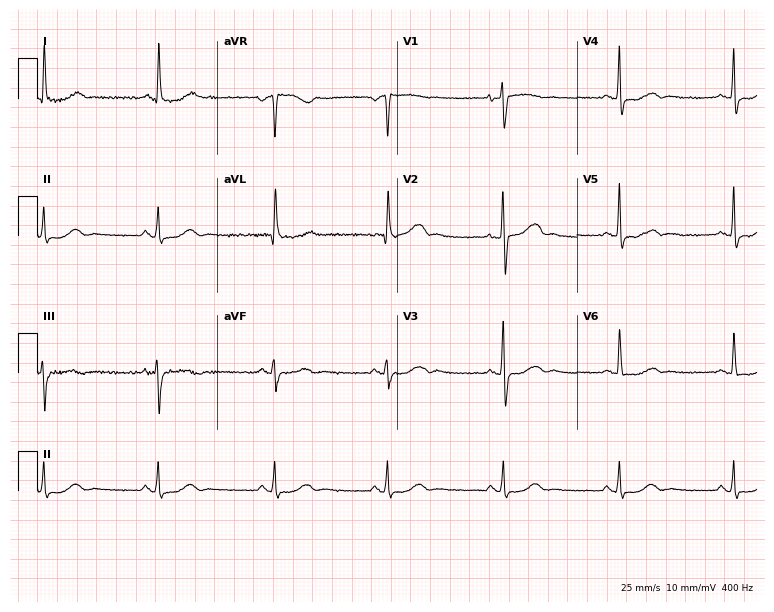
Standard 12-lead ECG recorded from a woman, 72 years old (7.3-second recording at 400 Hz). Read as a normal ECG.